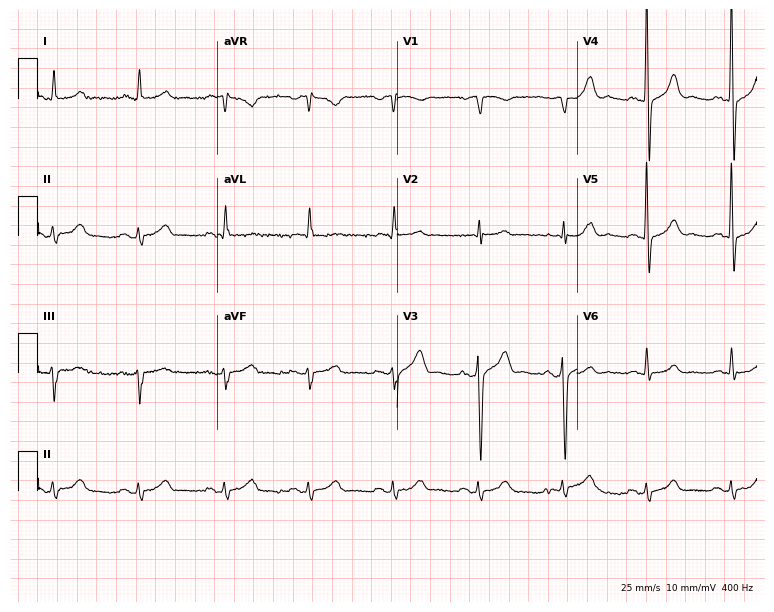
ECG (7.3-second recording at 400 Hz) — a man, 70 years old. Labelled as a normal ECG.